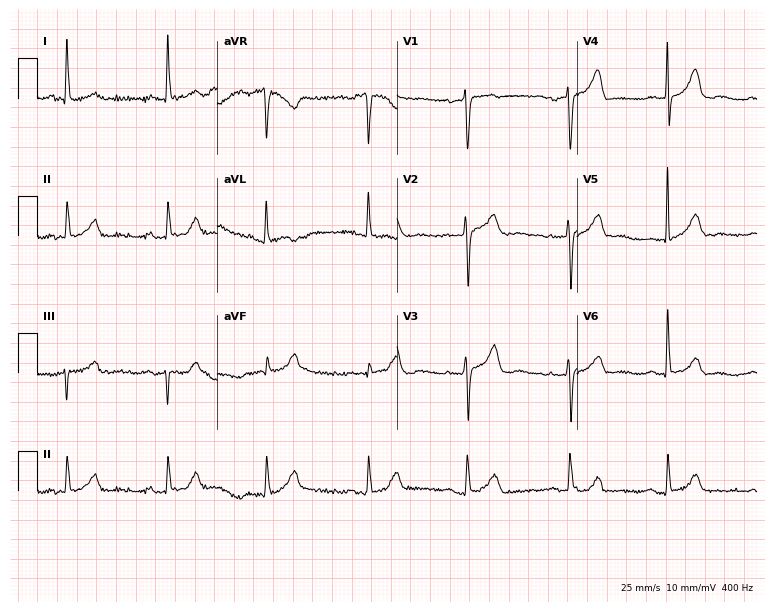
Resting 12-lead electrocardiogram (7.3-second recording at 400 Hz). Patient: a woman, 66 years old. Read as a normal ECG.